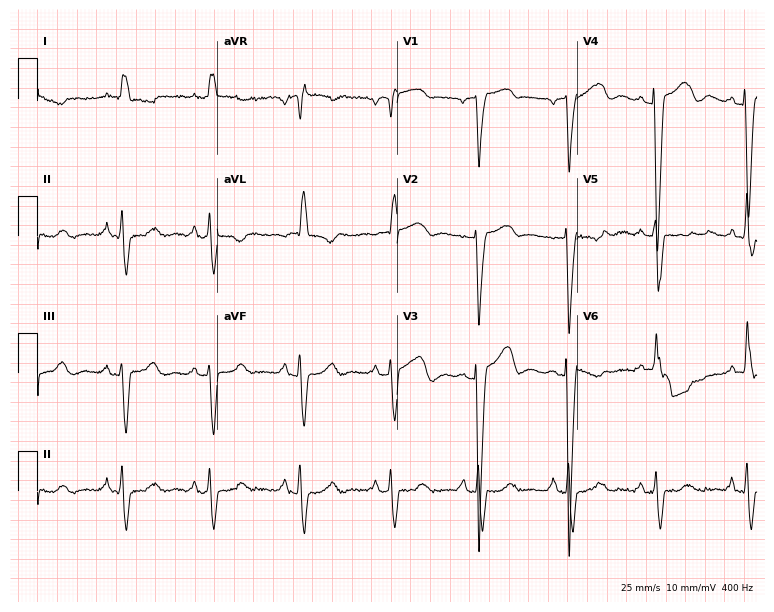
Electrocardiogram, a female patient, 79 years old. Interpretation includes left bundle branch block (LBBB).